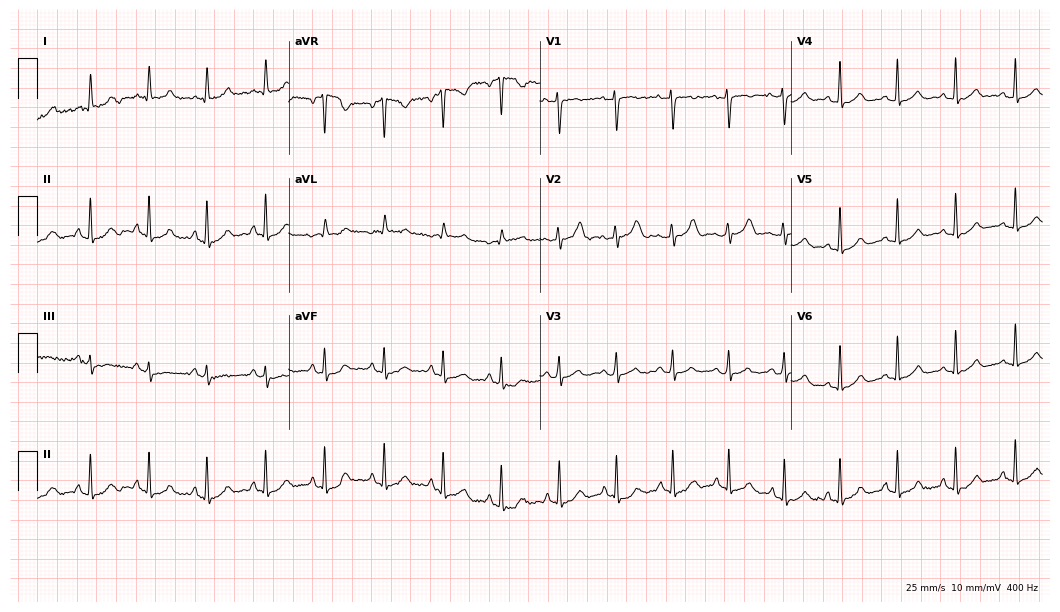
Electrocardiogram (10.2-second recording at 400 Hz), a female patient, 21 years old. Overall reading on record: normal ECG.